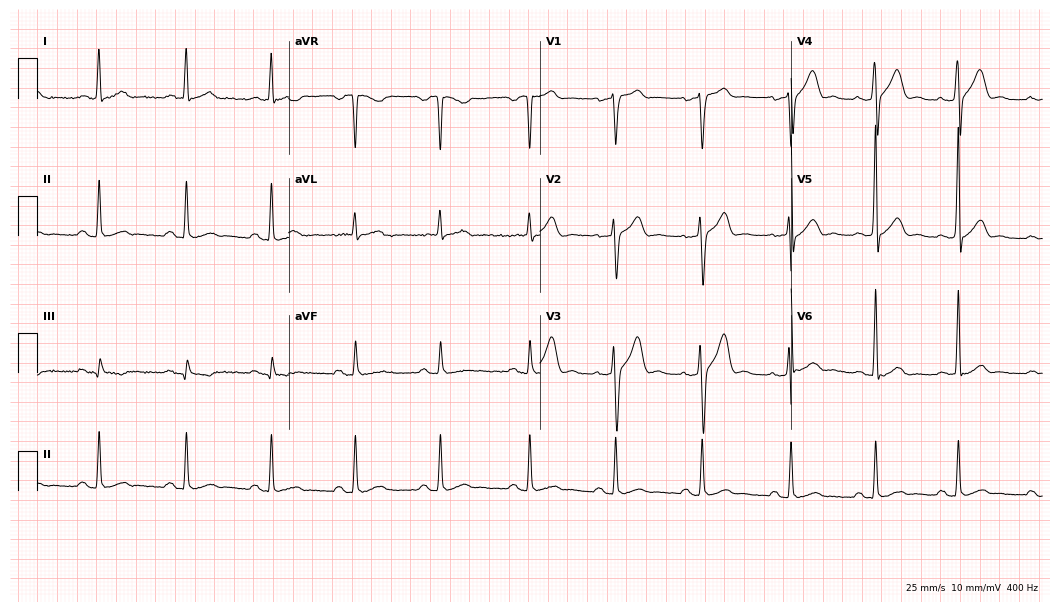
Resting 12-lead electrocardiogram (10.2-second recording at 400 Hz). Patient: a 57-year-old male. None of these six findings is recorded: first-degree AV block, right bundle branch block, left bundle branch block, sinus bradycardia, atrial fibrillation, sinus tachycardia. Other findings, if any, are not listed.